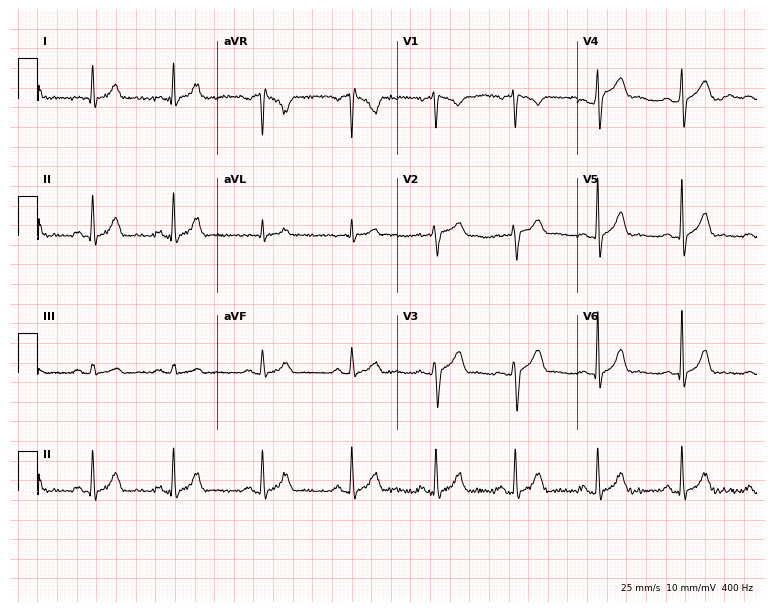
Standard 12-lead ECG recorded from a male, 41 years old (7.3-second recording at 400 Hz). Read as a normal ECG.